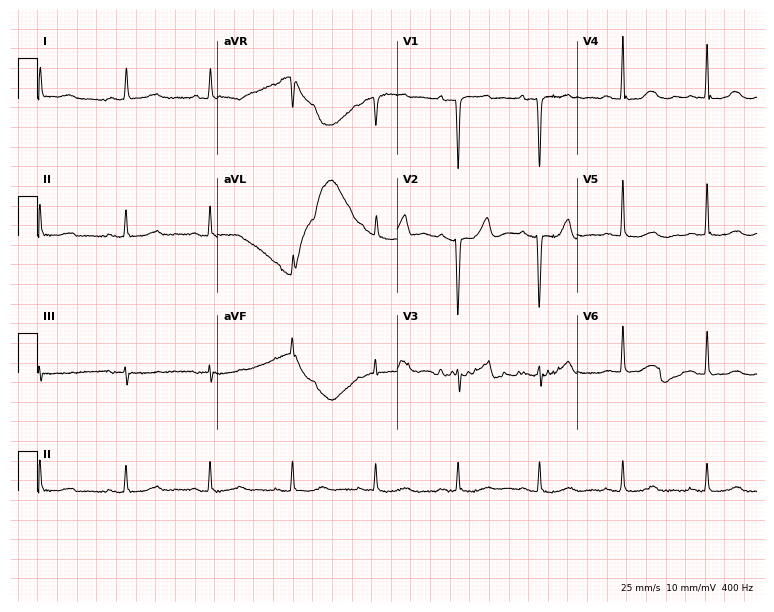
Standard 12-lead ECG recorded from an 85-year-old female. None of these six findings is recorded: first-degree AV block, right bundle branch block, left bundle branch block, sinus bradycardia, atrial fibrillation, sinus tachycardia. Only these six findings were labelled.